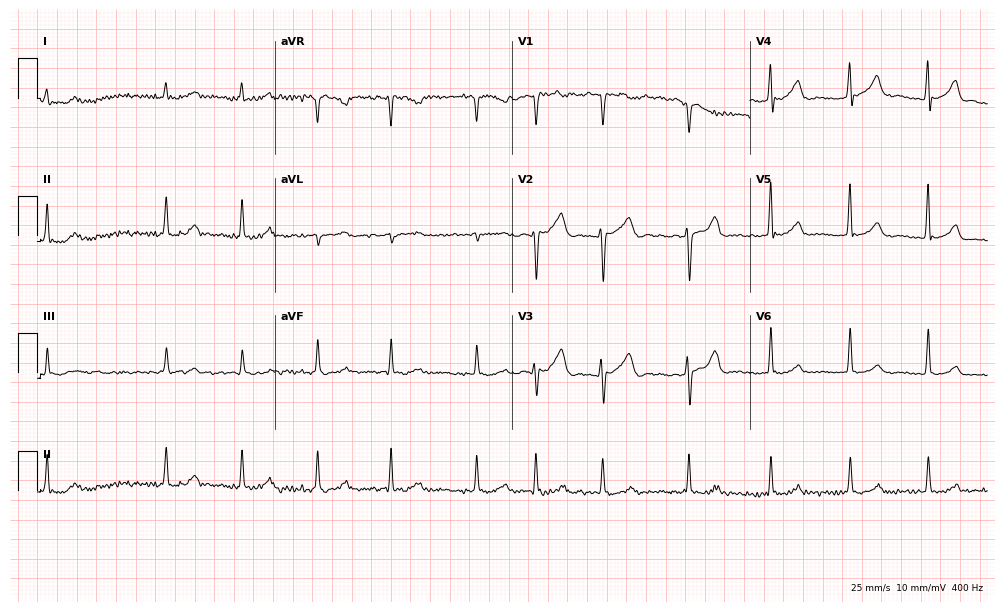
Standard 12-lead ECG recorded from an 81-year-old male patient. The tracing shows atrial fibrillation.